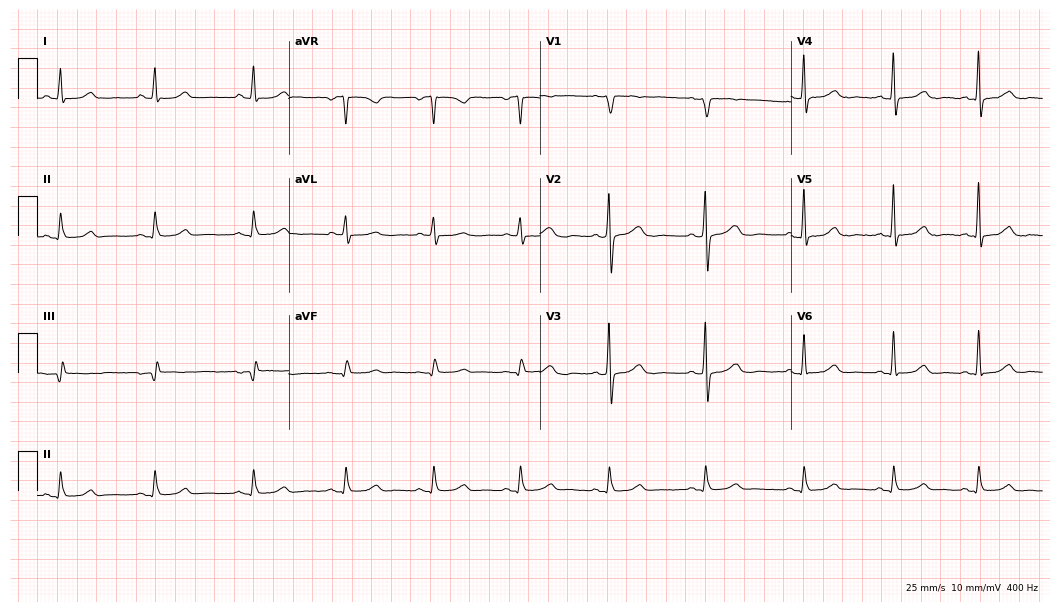
12-lead ECG from a female, 60 years old (10.2-second recording at 400 Hz). No first-degree AV block, right bundle branch block, left bundle branch block, sinus bradycardia, atrial fibrillation or sinus tachycardia recorded for this tracing. Findings outside these six are not listed.